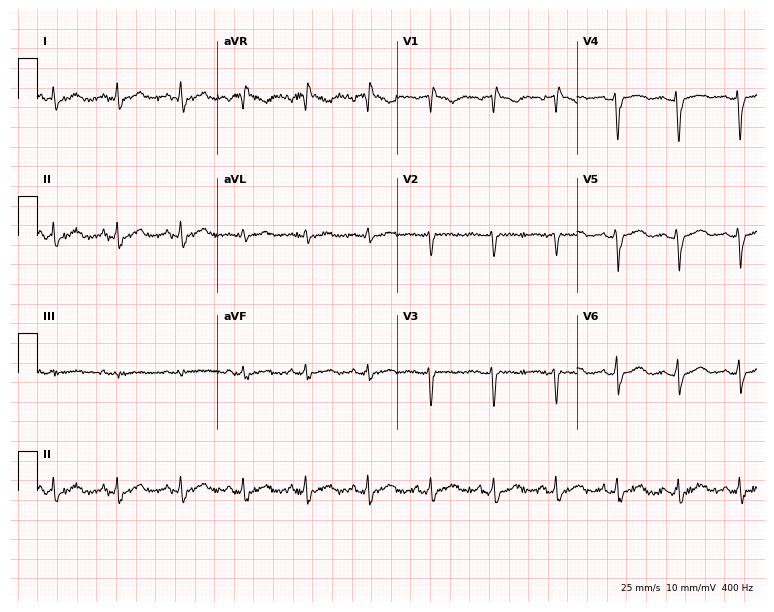
12-lead ECG from a female patient, 37 years old. No first-degree AV block, right bundle branch block, left bundle branch block, sinus bradycardia, atrial fibrillation or sinus tachycardia recorded for this tracing. Only these six findings were labelled.